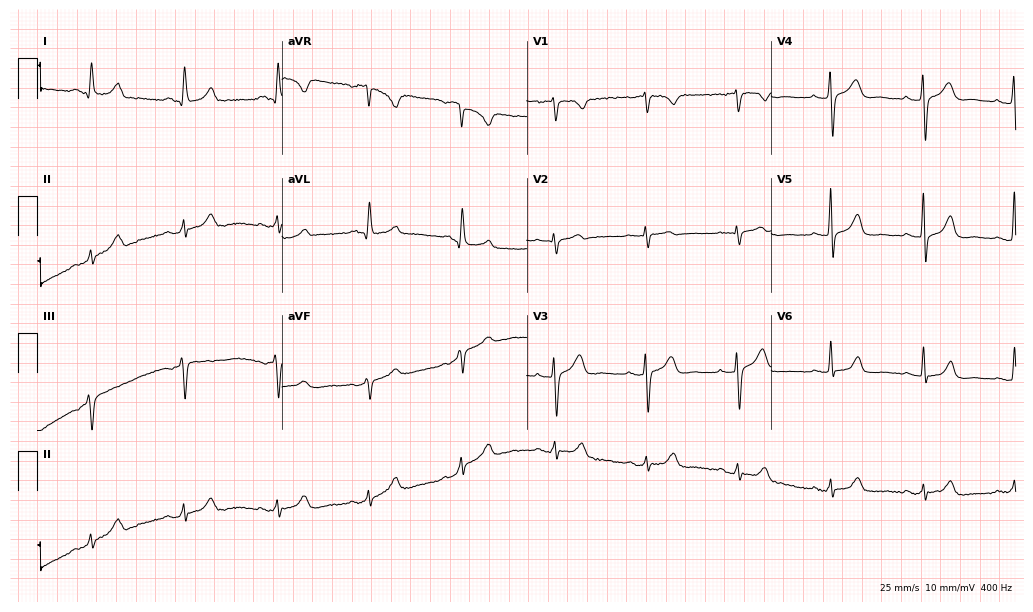
12-lead ECG (10-second recording at 400 Hz) from a 54-year-old female. Labelled as a normal ECG.